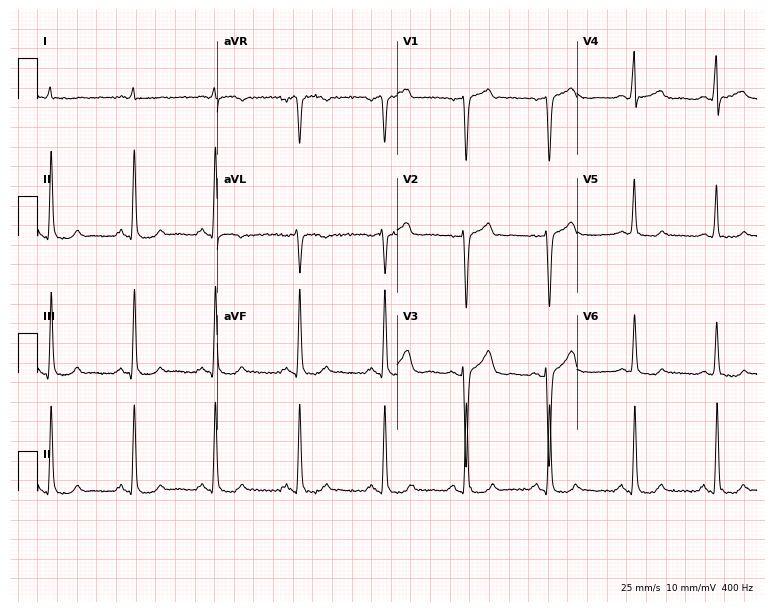
12-lead ECG (7.3-second recording at 400 Hz) from a 75-year-old male. Screened for six findings — first-degree AV block, right bundle branch block, left bundle branch block, sinus bradycardia, atrial fibrillation, sinus tachycardia — none is recorded.